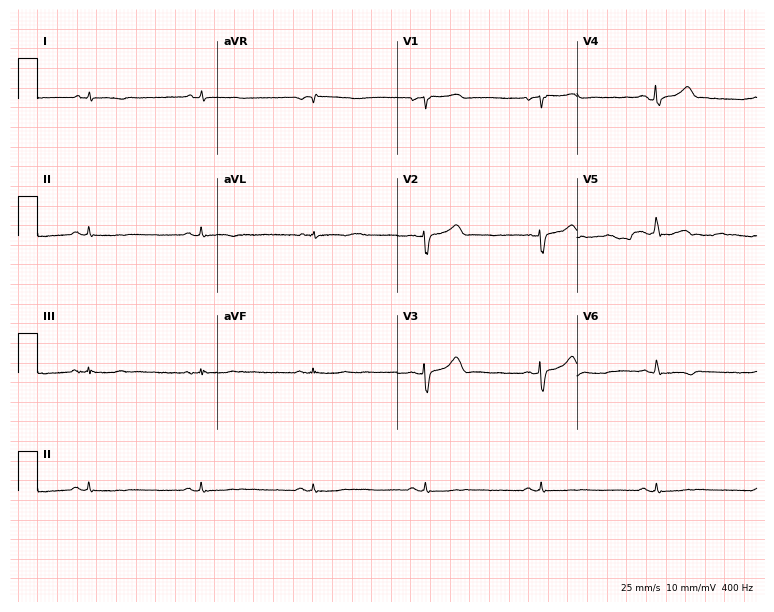
12-lead ECG (7.3-second recording at 400 Hz) from a 53-year-old male. Screened for six findings — first-degree AV block, right bundle branch block, left bundle branch block, sinus bradycardia, atrial fibrillation, sinus tachycardia — none is recorded.